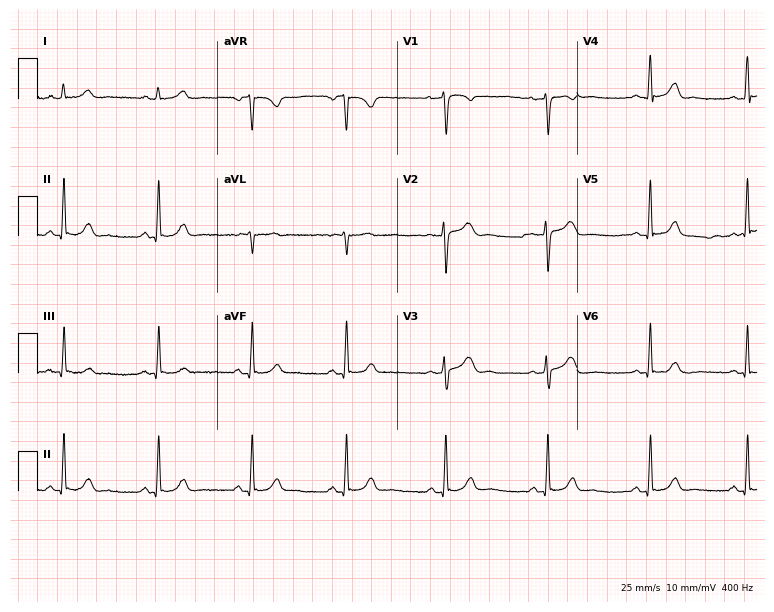
12-lead ECG from a 37-year-old female patient. Screened for six findings — first-degree AV block, right bundle branch block, left bundle branch block, sinus bradycardia, atrial fibrillation, sinus tachycardia — none is recorded. Findings outside these six are not listed.